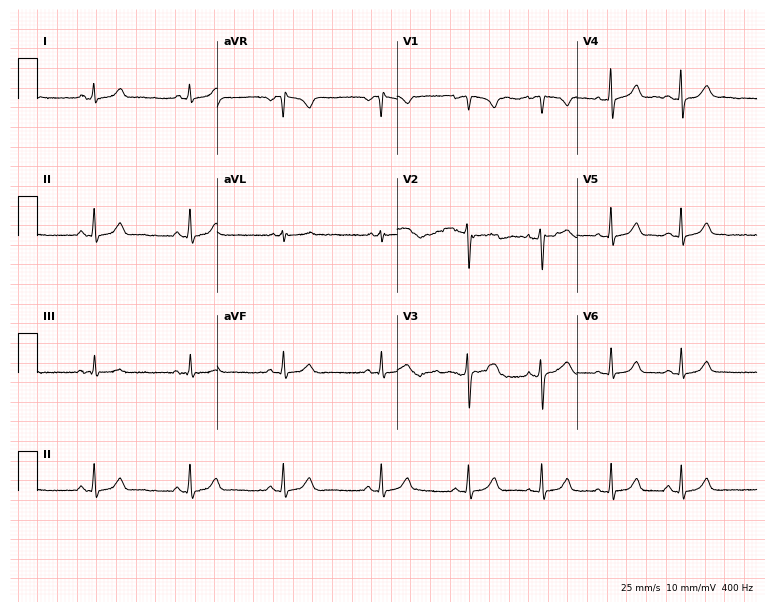
ECG (7.3-second recording at 400 Hz) — a woman, 24 years old. Labelled as a normal ECG.